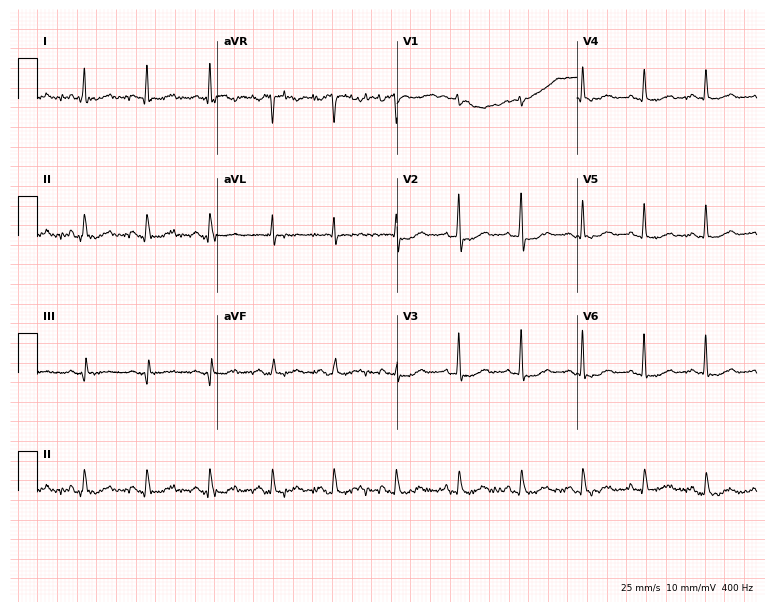
12-lead ECG from a 50-year-old female. Labelled as a normal ECG.